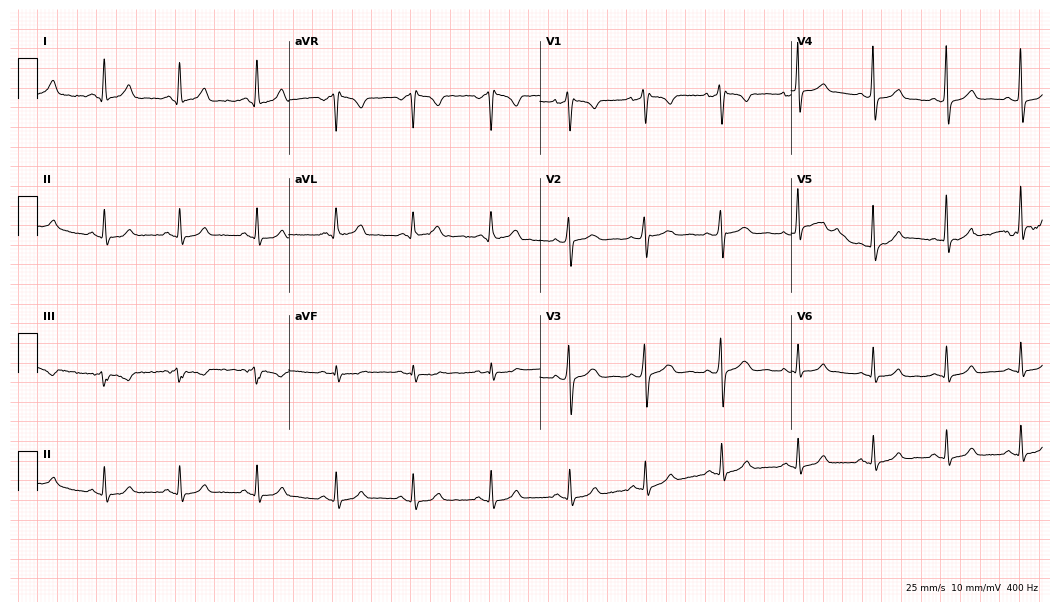
Resting 12-lead electrocardiogram. Patient: a woman, 30 years old. Read as a normal ECG.